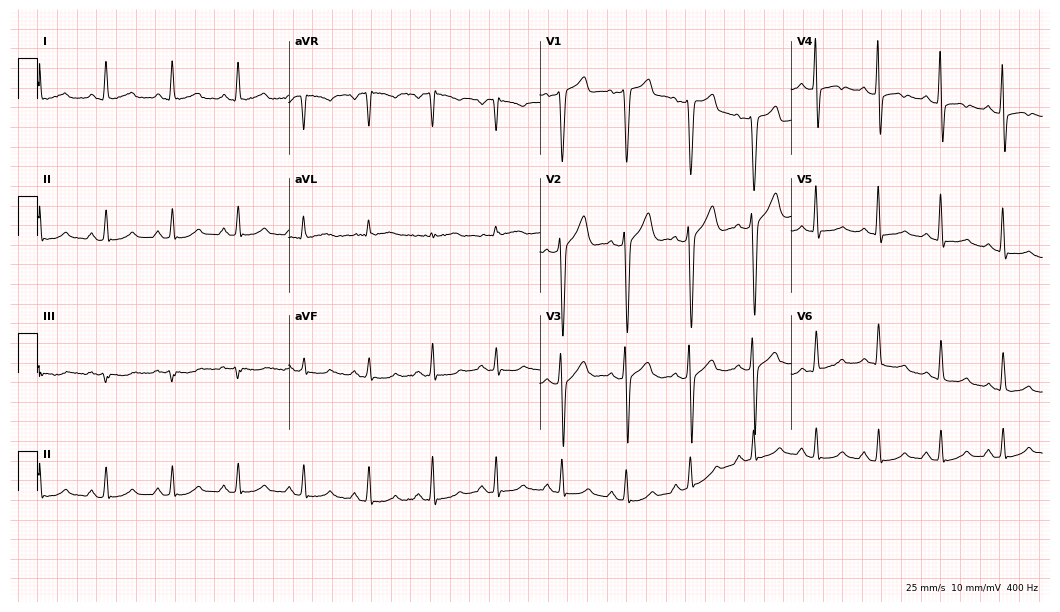
12-lead ECG from a male patient, 51 years old. Recorded interpretation: within normal limits.